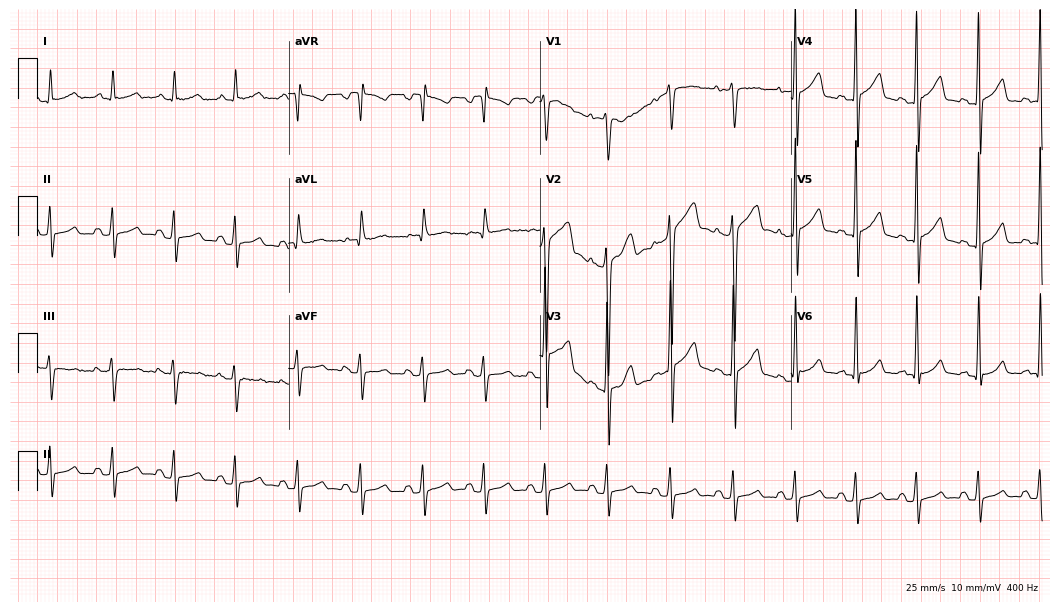
12-lead ECG from a male patient, 42 years old (10.2-second recording at 400 Hz). Recorded interpretation: within normal limits.